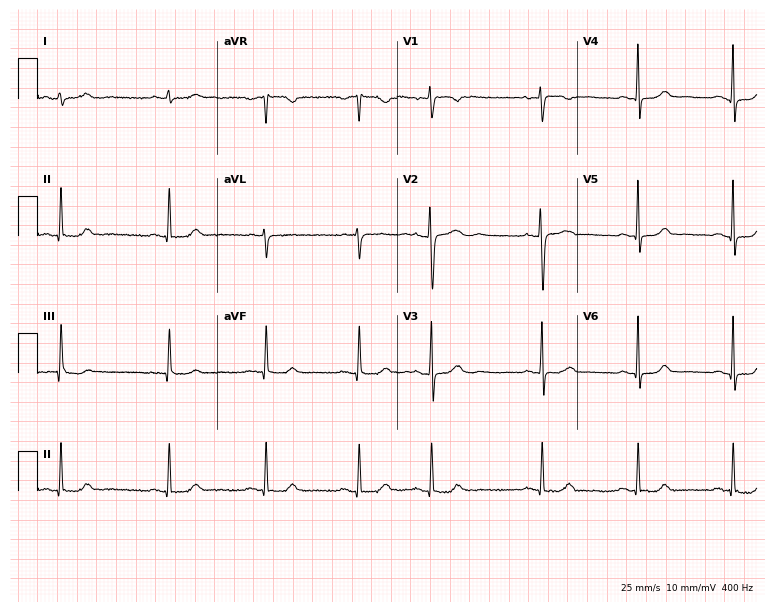
ECG — a woman, 29 years old. Labelled as a normal ECG.